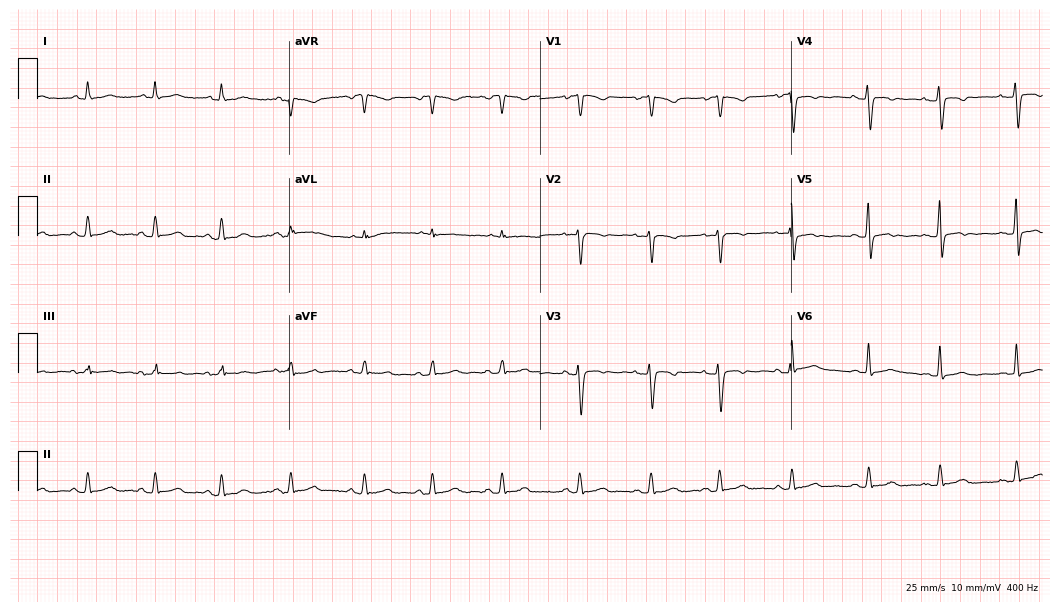
12-lead ECG from a 25-year-old female patient (10.2-second recording at 400 Hz). No first-degree AV block, right bundle branch block (RBBB), left bundle branch block (LBBB), sinus bradycardia, atrial fibrillation (AF) or sinus tachycardia recorded for this tracing. Only these six findings were labelled.